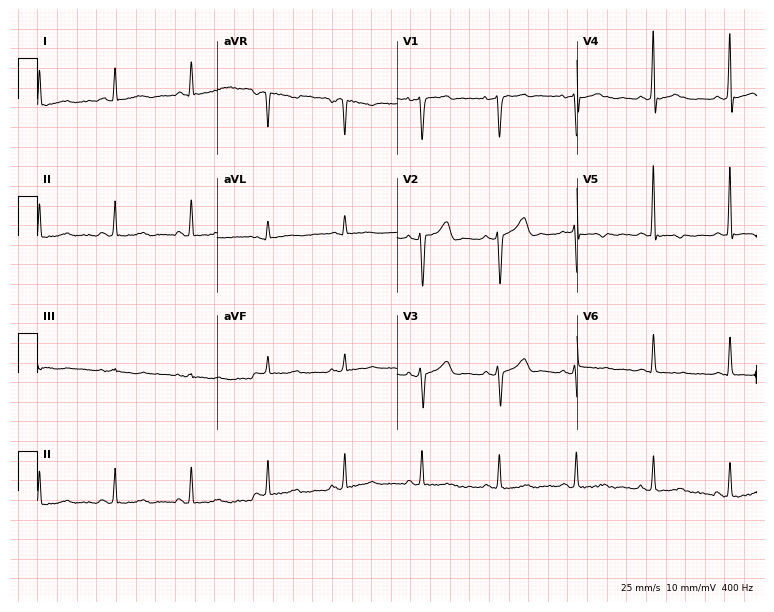
Standard 12-lead ECG recorded from a 58-year-old woman. None of these six findings is recorded: first-degree AV block, right bundle branch block (RBBB), left bundle branch block (LBBB), sinus bradycardia, atrial fibrillation (AF), sinus tachycardia.